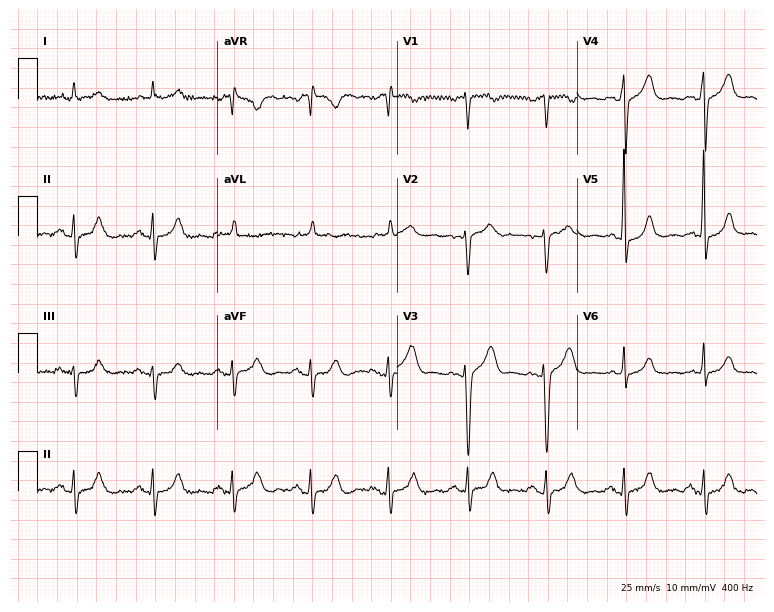
Resting 12-lead electrocardiogram (7.3-second recording at 400 Hz). Patient: a male, 70 years old. Read as a normal ECG.